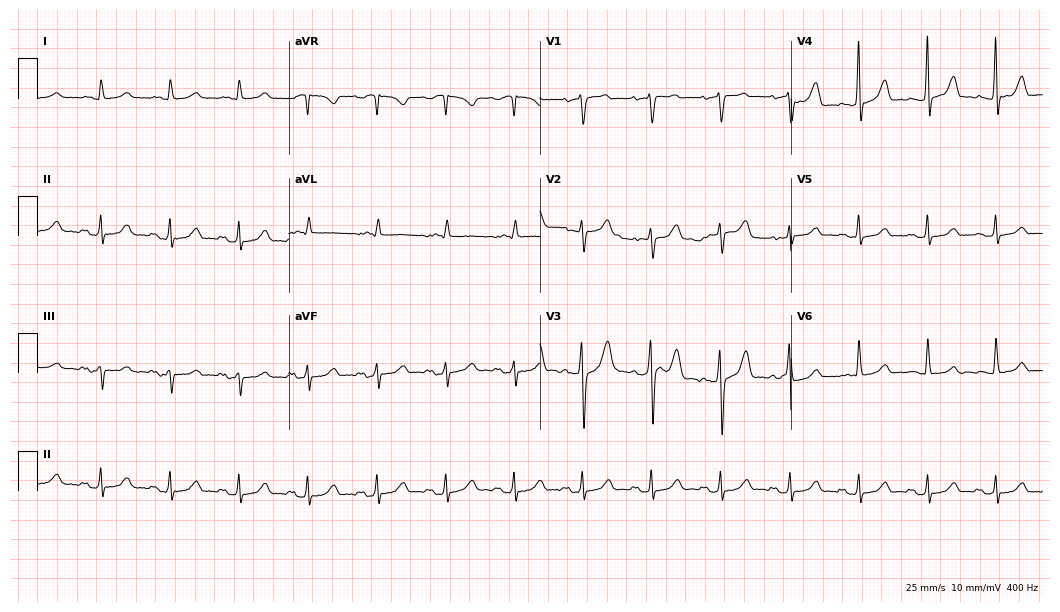
Electrocardiogram (10.2-second recording at 400 Hz), a 63-year-old male patient. Overall reading on record: normal ECG.